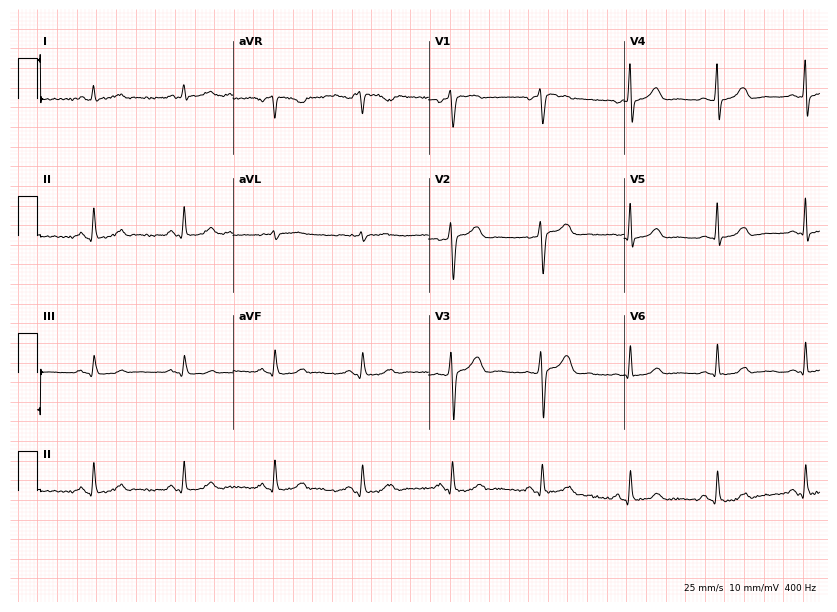
12-lead ECG (8-second recording at 400 Hz) from a 53-year-old woman. Labelled as a normal ECG.